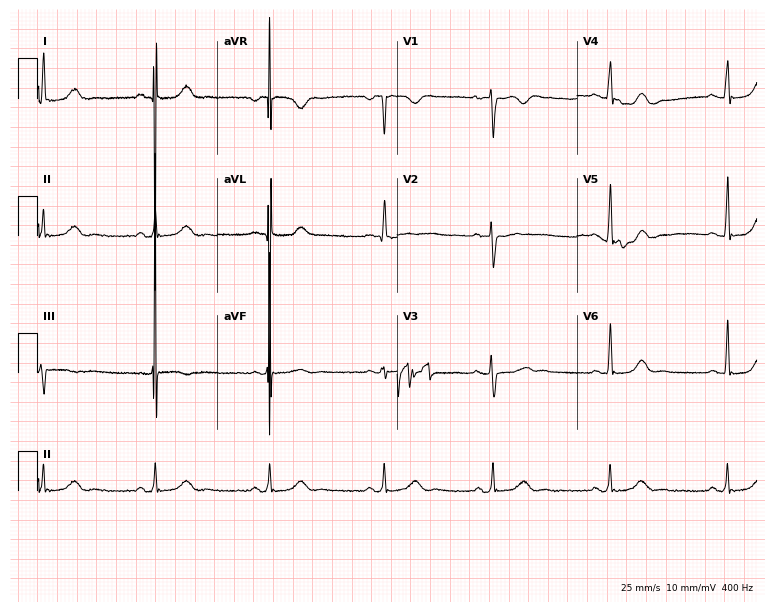
Electrocardiogram (7.3-second recording at 400 Hz), a 52-year-old female. Overall reading on record: normal ECG.